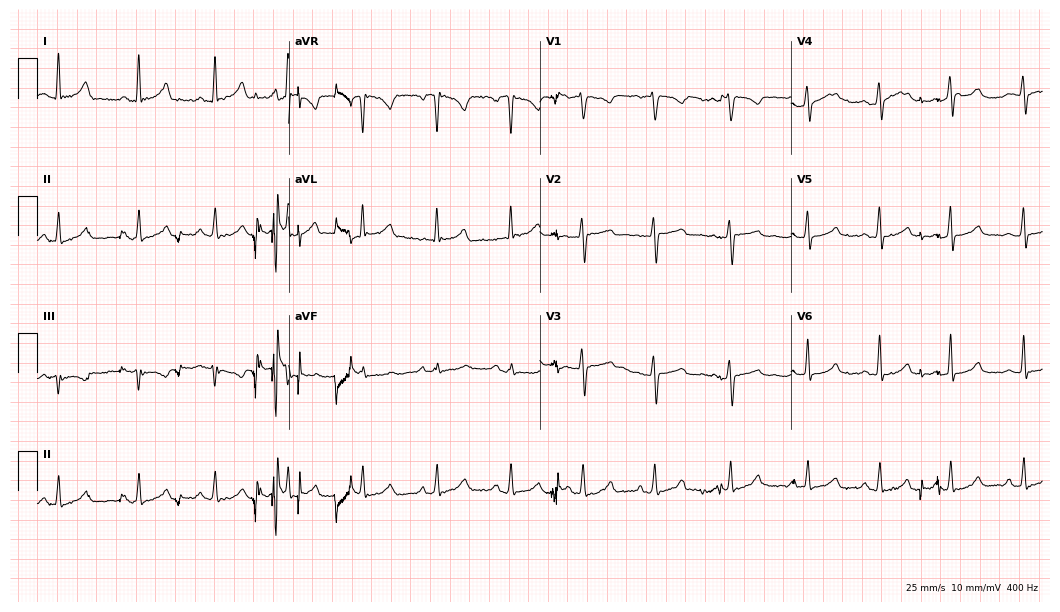
Resting 12-lead electrocardiogram. Patient: a female, 28 years old. Read as a normal ECG.